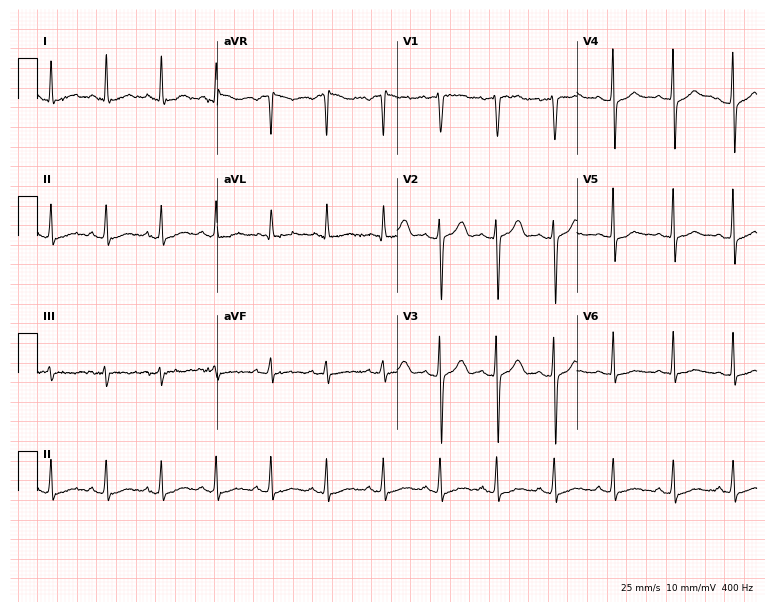
ECG — a female, 40 years old. Findings include sinus tachycardia (a sinus rate of 100 beats per minute or more).